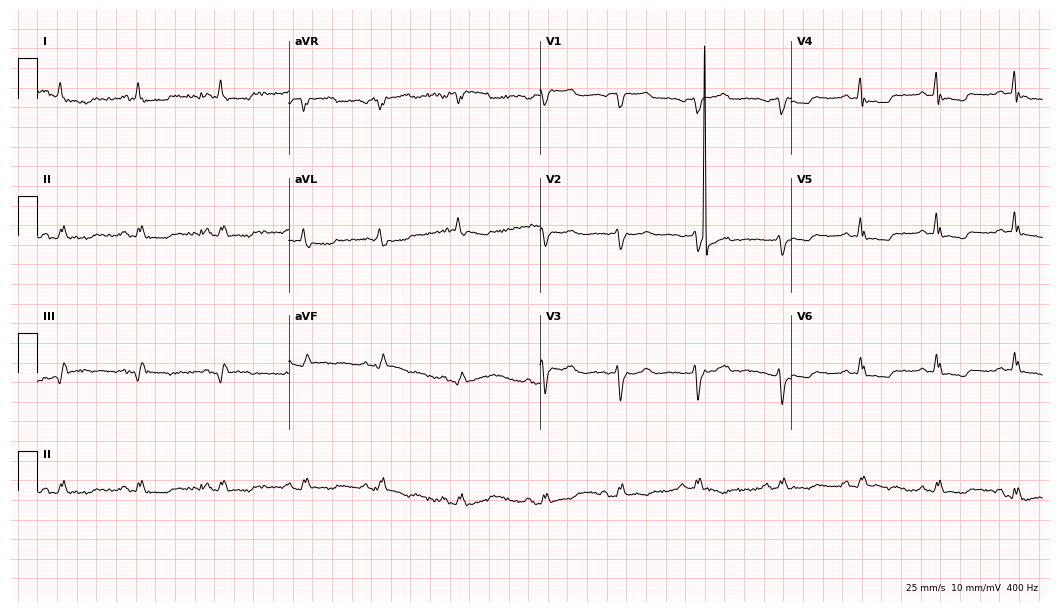
Electrocardiogram (10.2-second recording at 400 Hz), a female patient, 58 years old. Of the six screened findings (first-degree AV block, right bundle branch block (RBBB), left bundle branch block (LBBB), sinus bradycardia, atrial fibrillation (AF), sinus tachycardia), none is recorded. Other findings, if any, are not listed.